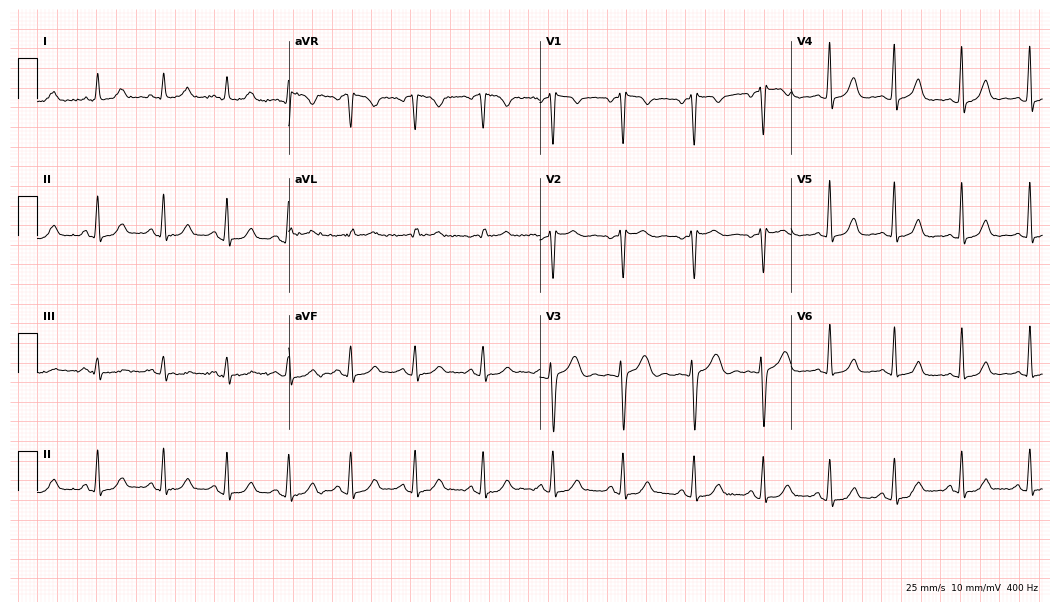
Standard 12-lead ECG recorded from a 47-year-old female (10.2-second recording at 400 Hz). Read as a normal ECG.